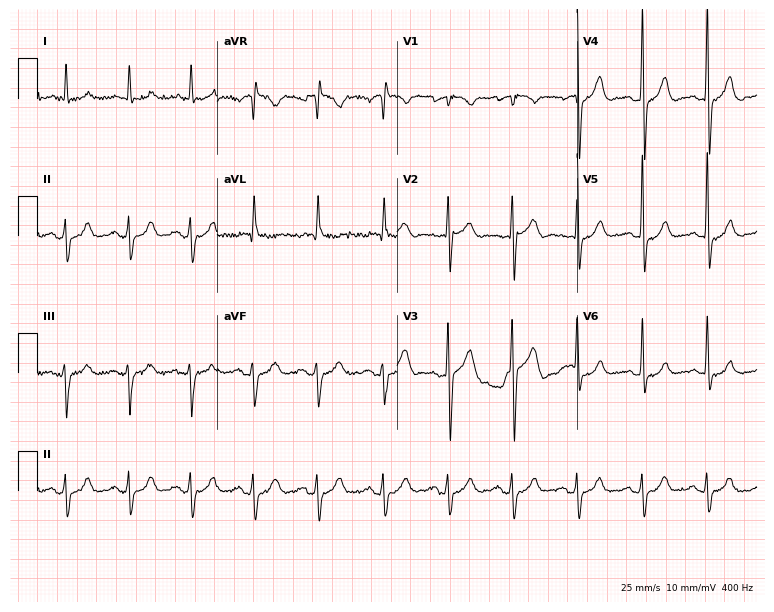
12-lead ECG (7.3-second recording at 400 Hz) from a man, 48 years old. Screened for six findings — first-degree AV block, right bundle branch block (RBBB), left bundle branch block (LBBB), sinus bradycardia, atrial fibrillation (AF), sinus tachycardia — none is recorded. Other findings, if any, are not listed.